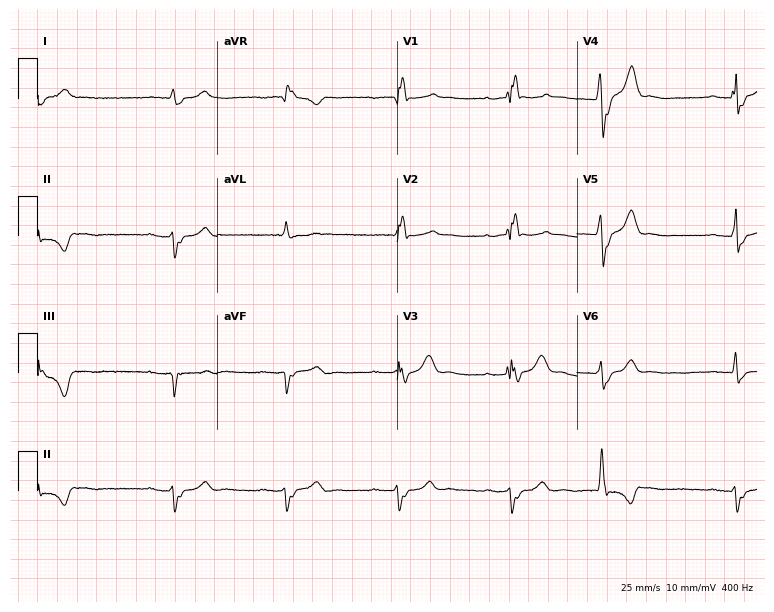
ECG (7.3-second recording at 400 Hz) — a 75-year-old male. Screened for six findings — first-degree AV block, right bundle branch block, left bundle branch block, sinus bradycardia, atrial fibrillation, sinus tachycardia — none is recorded.